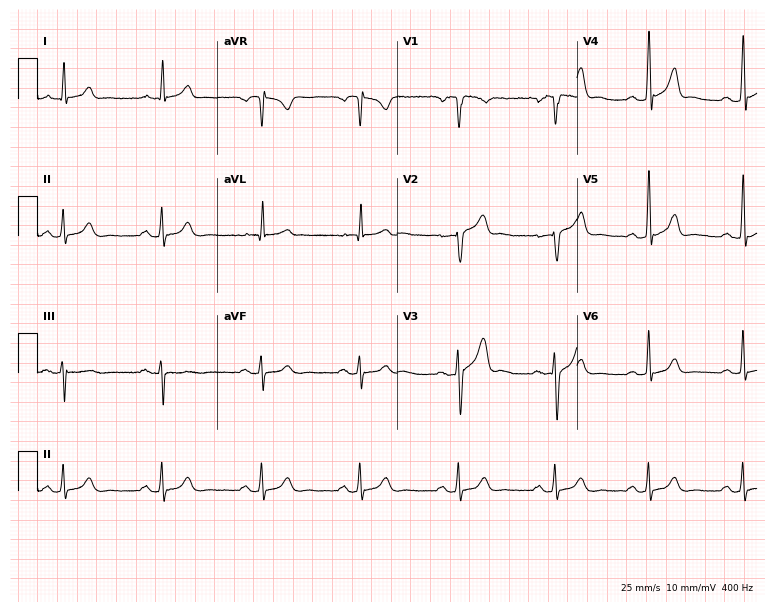
12-lead ECG from a male, 49 years old. Recorded interpretation: within normal limits.